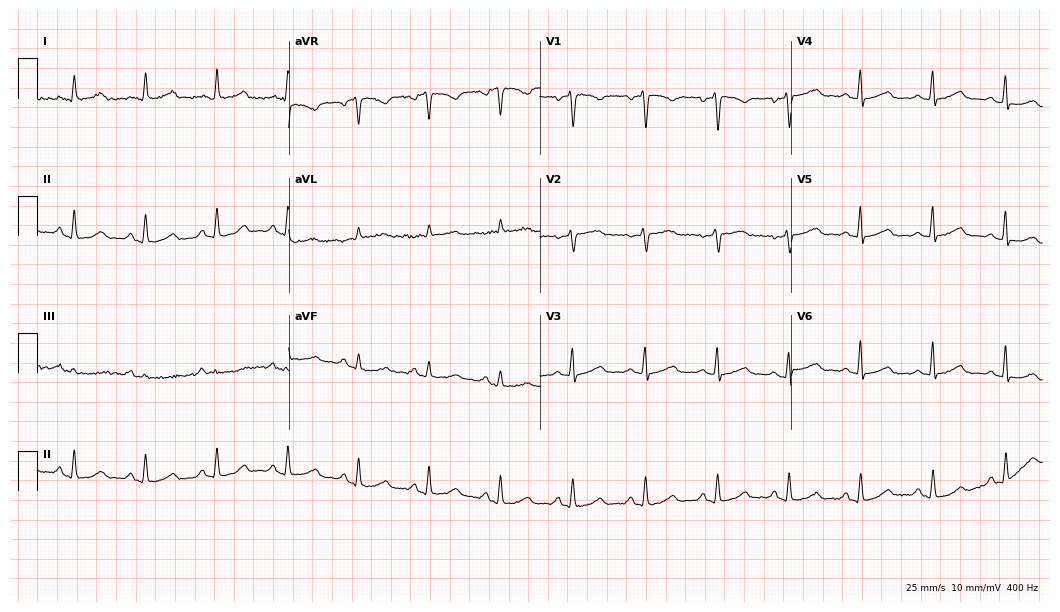
ECG (10.2-second recording at 400 Hz) — a 51-year-old female patient. Screened for six findings — first-degree AV block, right bundle branch block (RBBB), left bundle branch block (LBBB), sinus bradycardia, atrial fibrillation (AF), sinus tachycardia — none is recorded. Only these six findings were labelled.